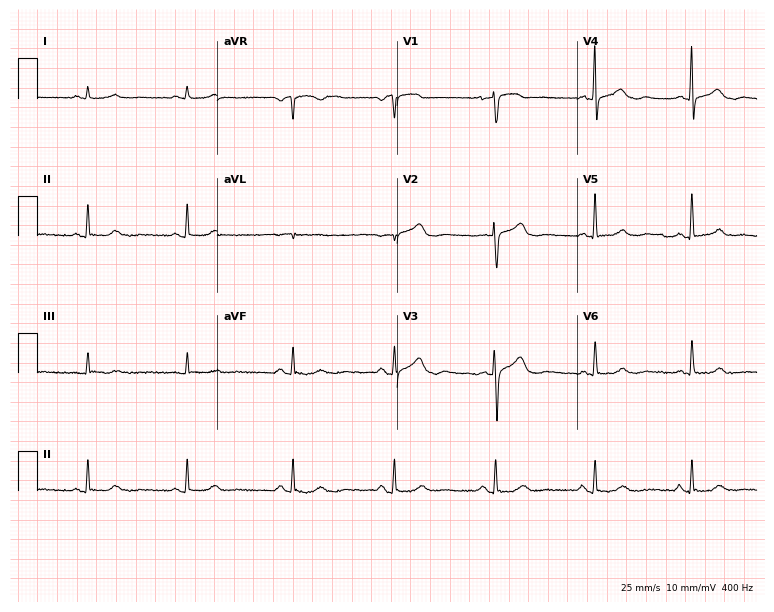
12-lead ECG (7.3-second recording at 400 Hz) from a female patient, 52 years old. Screened for six findings — first-degree AV block, right bundle branch block, left bundle branch block, sinus bradycardia, atrial fibrillation, sinus tachycardia — none is recorded.